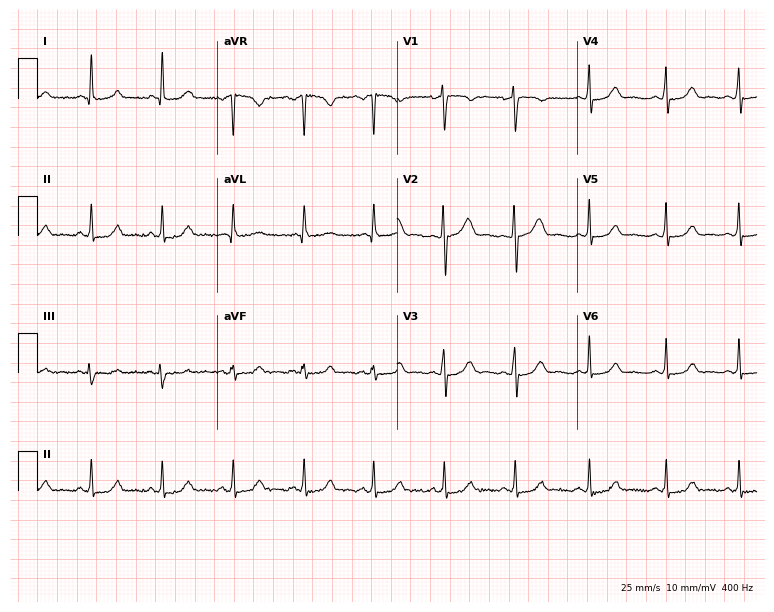
Resting 12-lead electrocardiogram (7.3-second recording at 400 Hz). Patient: a man, 36 years old. Read as a normal ECG.